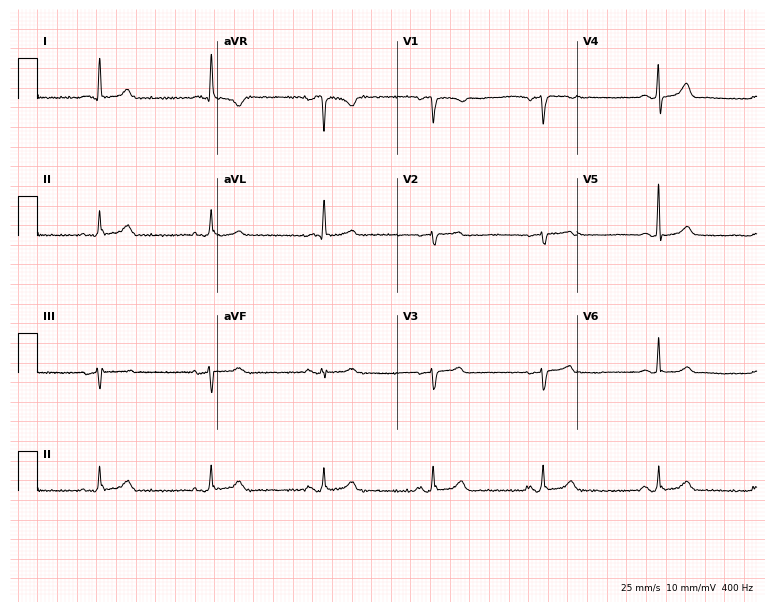
Electrocardiogram, a female, 82 years old. Overall reading on record: normal ECG.